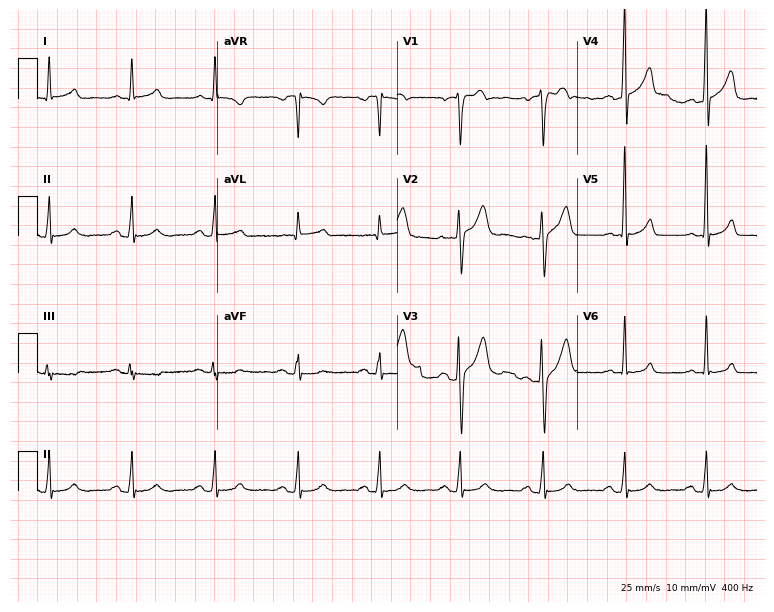
Electrocardiogram (7.3-second recording at 400 Hz), a male patient, 39 years old. Overall reading on record: normal ECG.